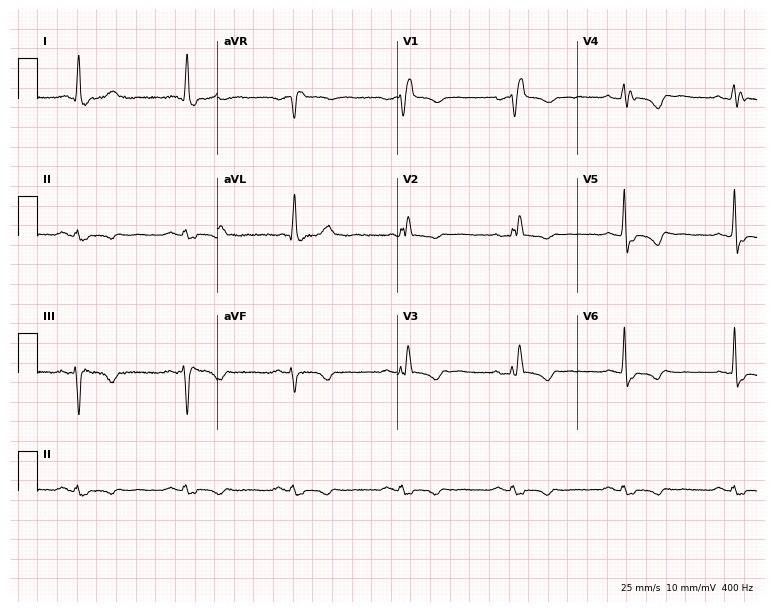
Resting 12-lead electrocardiogram. Patient: a 66-year-old woman. The tracing shows right bundle branch block (RBBB), sinus bradycardia (a sinus rate of 50 beats per minute or less).